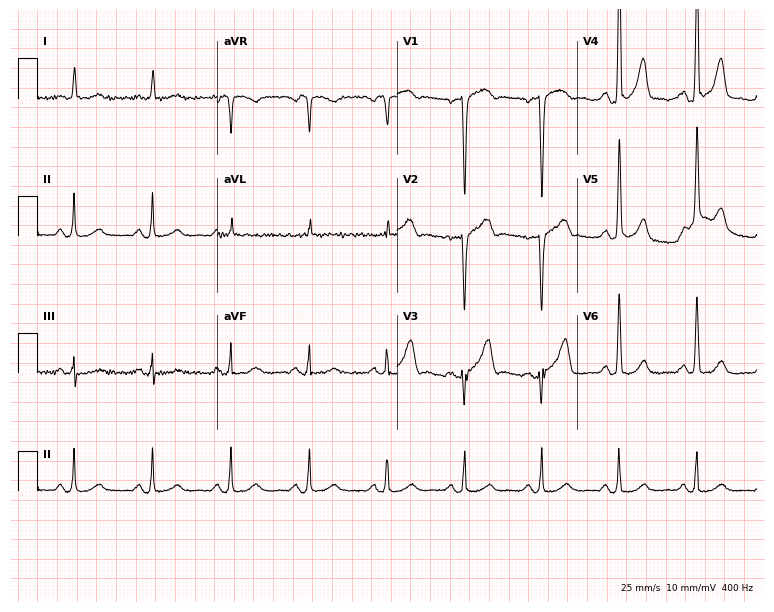
ECG — a woman, 74 years old. Screened for six findings — first-degree AV block, right bundle branch block, left bundle branch block, sinus bradycardia, atrial fibrillation, sinus tachycardia — none is recorded. Only these six findings were labelled.